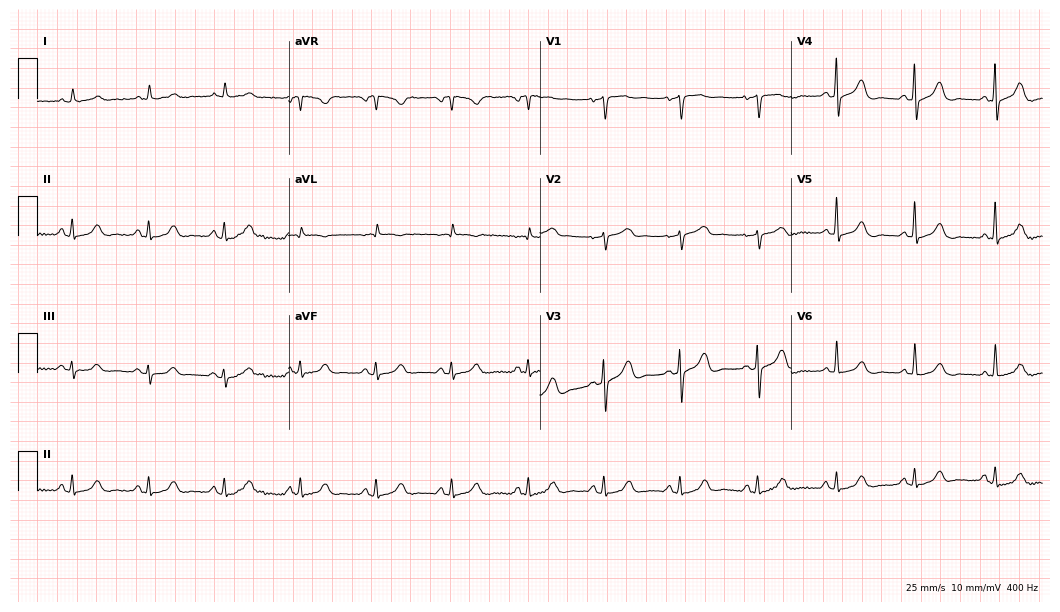
ECG (10.2-second recording at 400 Hz) — an 84-year-old female patient. Labelled as a normal ECG.